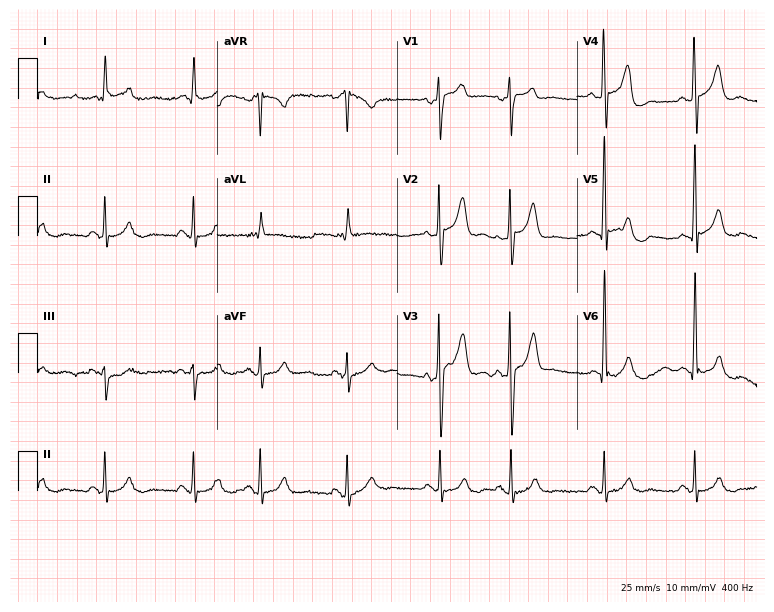
12-lead ECG (7.3-second recording at 400 Hz) from an 84-year-old male. Screened for six findings — first-degree AV block, right bundle branch block (RBBB), left bundle branch block (LBBB), sinus bradycardia, atrial fibrillation (AF), sinus tachycardia — none is recorded.